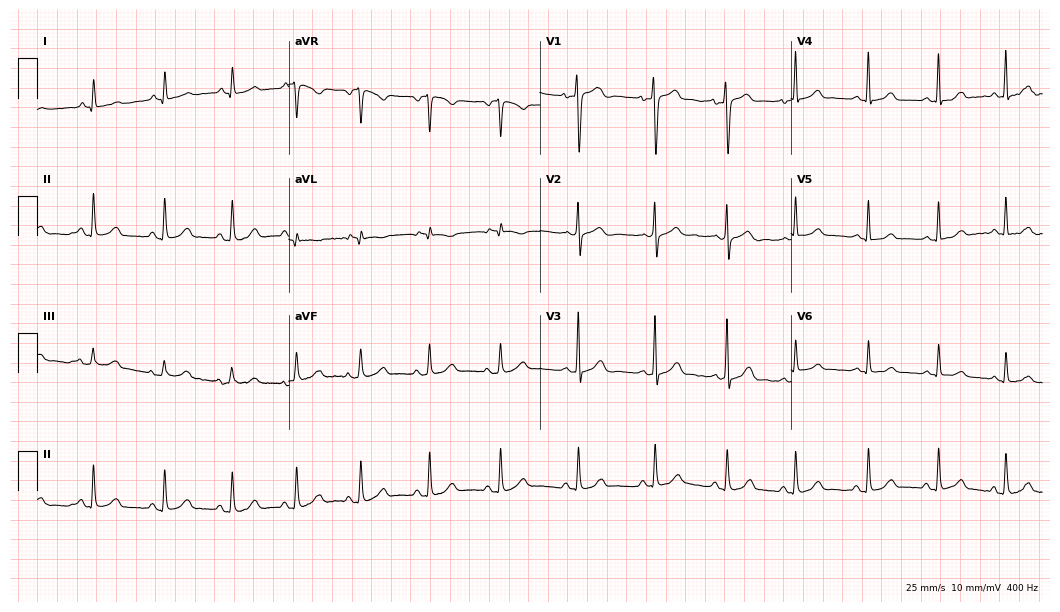
12-lead ECG from a 24-year-old man. Recorded interpretation: within normal limits.